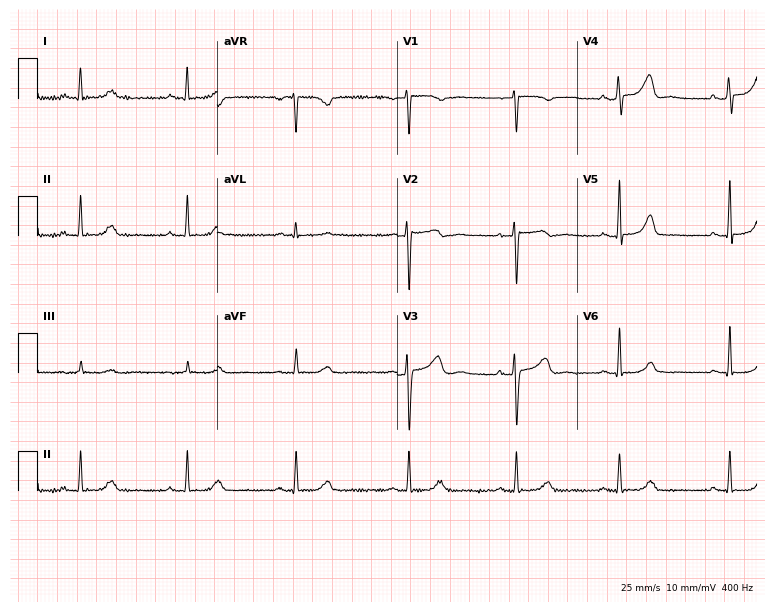
12-lead ECG (7.3-second recording at 400 Hz) from a female patient, 50 years old. Screened for six findings — first-degree AV block, right bundle branch block, left bundle branch block, sinus bradycardia, atrial fibrillation, sinus tachycardia — none is recorded. Other findings, if any, are not listed.